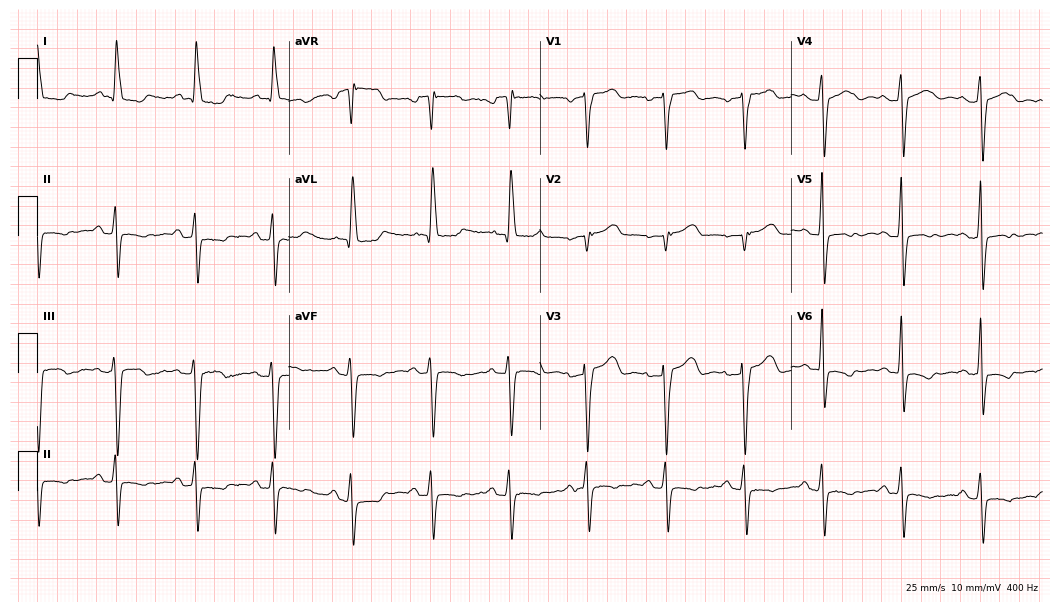
12-lead ECG (10.2-second recording at 400 Hz) from a woman, 84 years old. Screened for six findings — first-degree AV block, right bundle branch block, left bundle branch block, sinus bradycardia, atrial fibrillation, sinus tachycardia — none is recorded.